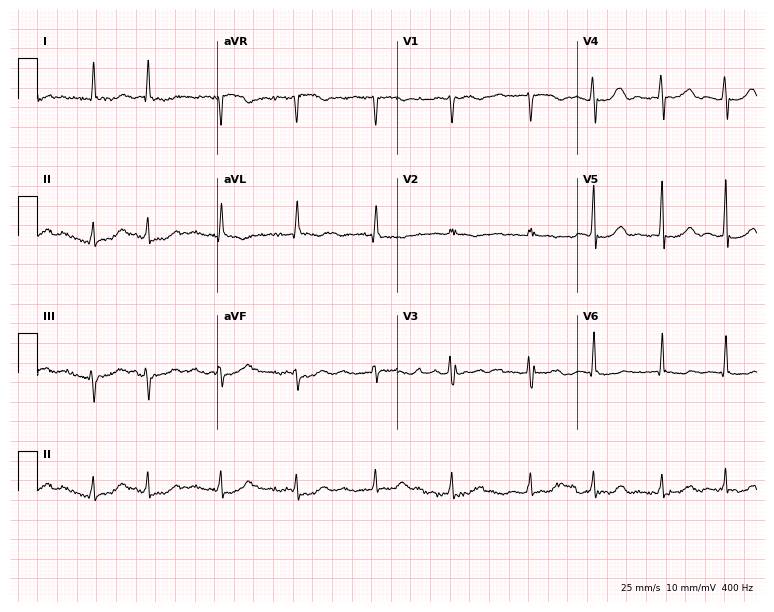
Standard 12-lead ECG recorded from a 66-year-old female (7.3-second recording at 400 Hz). None of these six findings is recorded: first-degree AV block, right bundle branch block, left bundle branch block, sinus bradycardia, atrial fibrillation, sinus tachycardia.